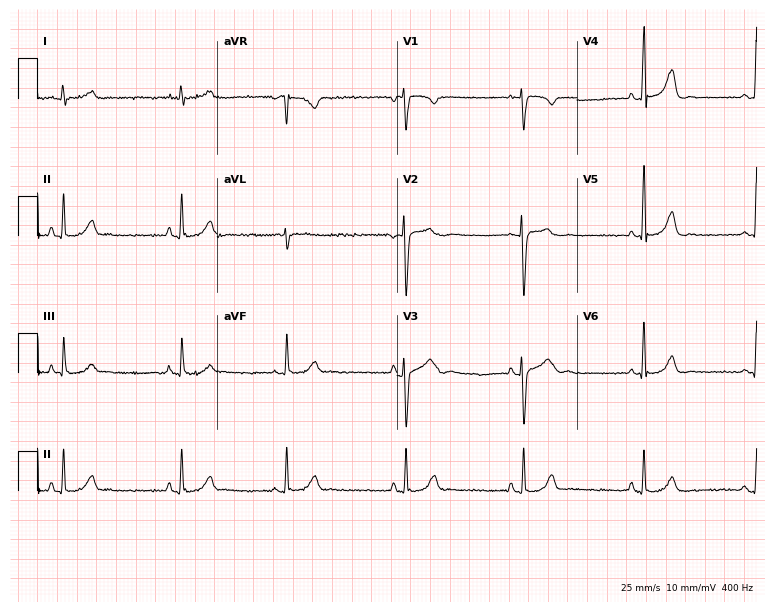
12-lead ECG (7.3-second recording at 400 Hz) from a woman, 32 years old. Labelled as a normal ECG.